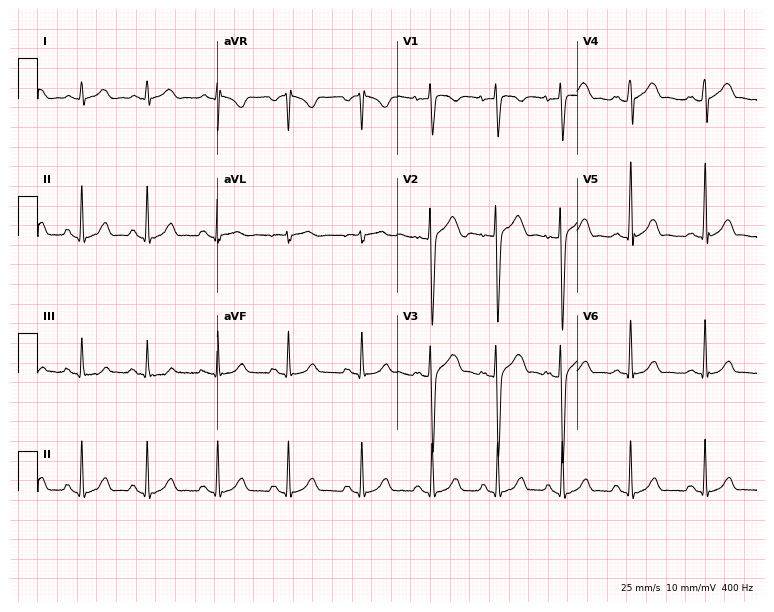
ECG — a male, 22 years old. Labelled as a normal ECG.